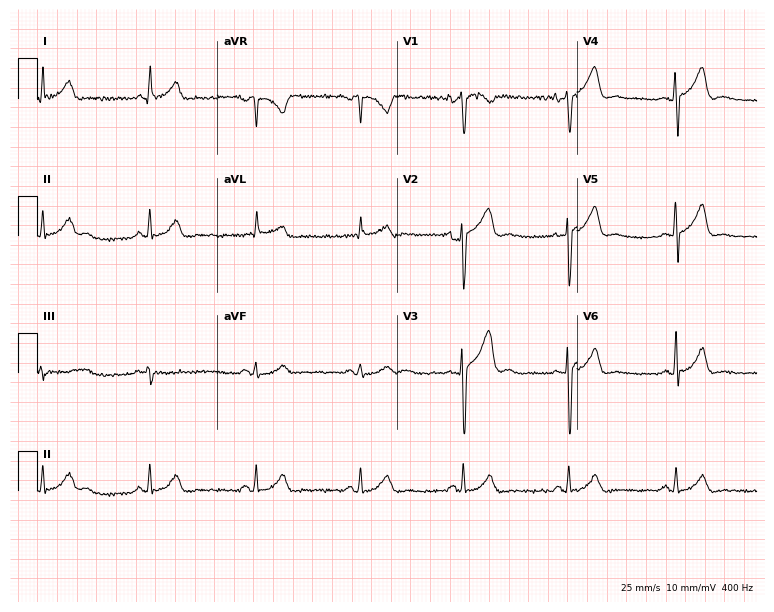
12-lead ECG from a 33-year-old man. Recorded interpretation: within normal limits.